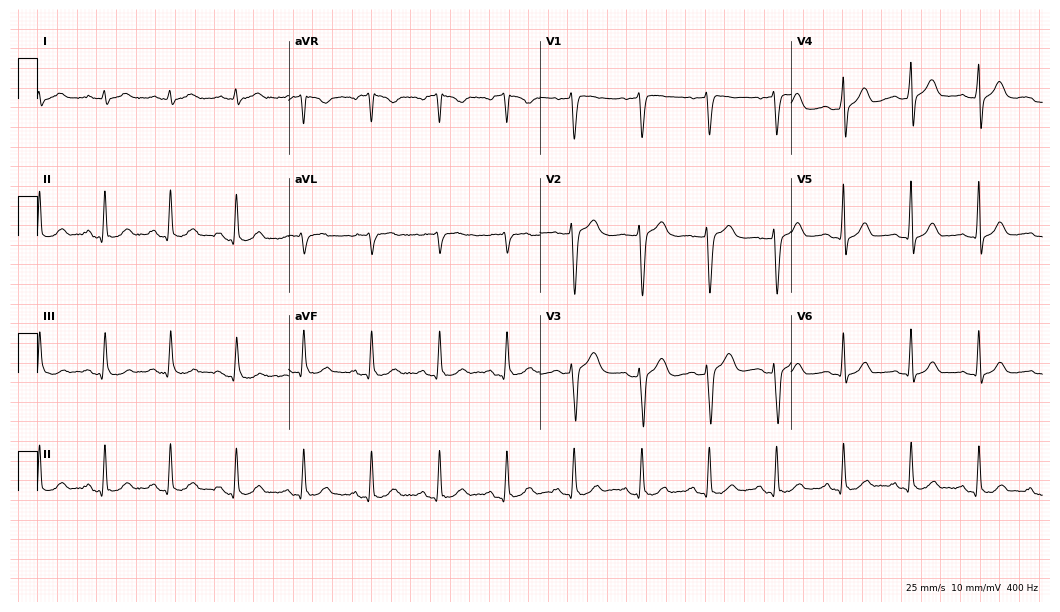
Standard 12-lead ECG recorded from a man, 53 years old. None of these six findings is recorded: first-degree AV block, right bundle branch block, left bundle branch block, sinus bradycardia, atrial fibrillation, sinus tachycardia.